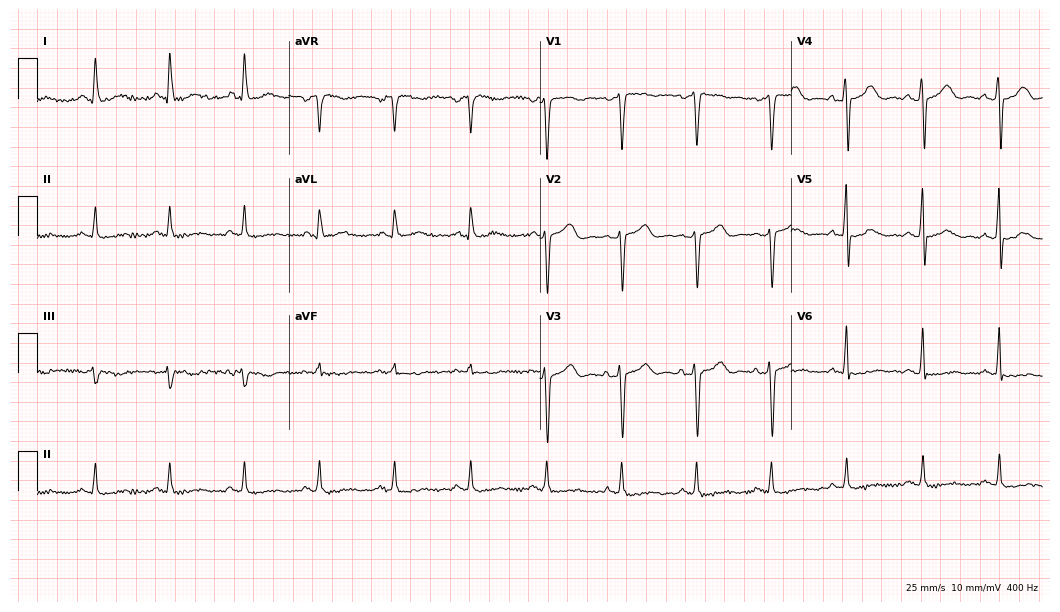
Electrocardiogram (10.2-second recording at 400 Hz), a 55-year-old man. Of the six screened findings (first-degree AV block, right bundle branch block, left bundle branch block, sinus bradycardia, atrial fibrillation, sinus tachycardia), none is recorded. Other findings, if any, are not listed.